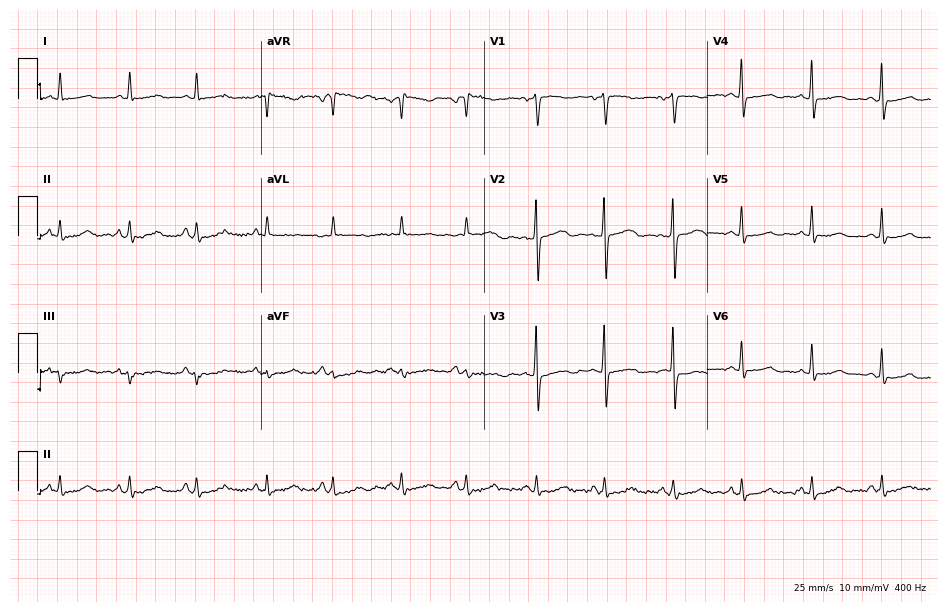
ECG — a 58-year-old woman. Labelled as a normal ECG.